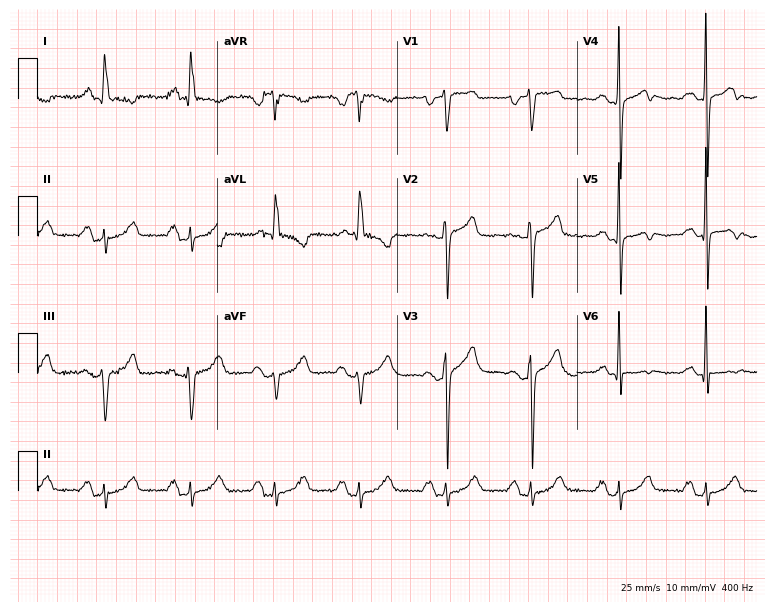
12-lead ECG from a 57-year-old female. Screened for six findings — first-degree AV block, right bundle branch block, left bundle branch block, sinus bradycardia, atrial fibrillation, sinus tachycardia — none is recorded.